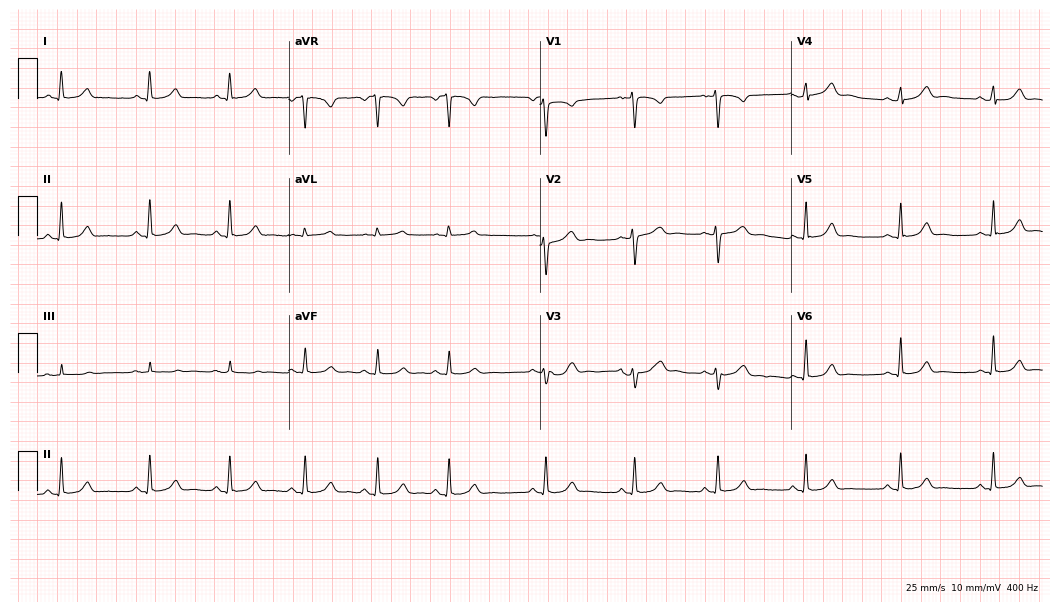
12-lead ECG from a female, 30 years old (10.2-second recording at 400 Hz). Recorded interpretation: within normal limits.